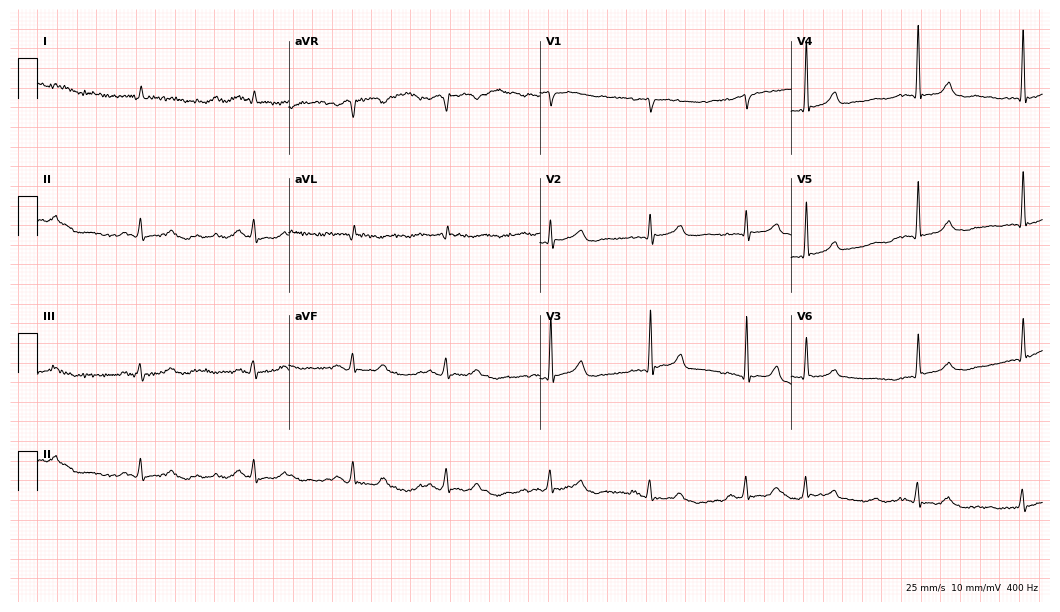
Electrocardiogram, a man, 86 years old. Overall reading on record: normal ECG.